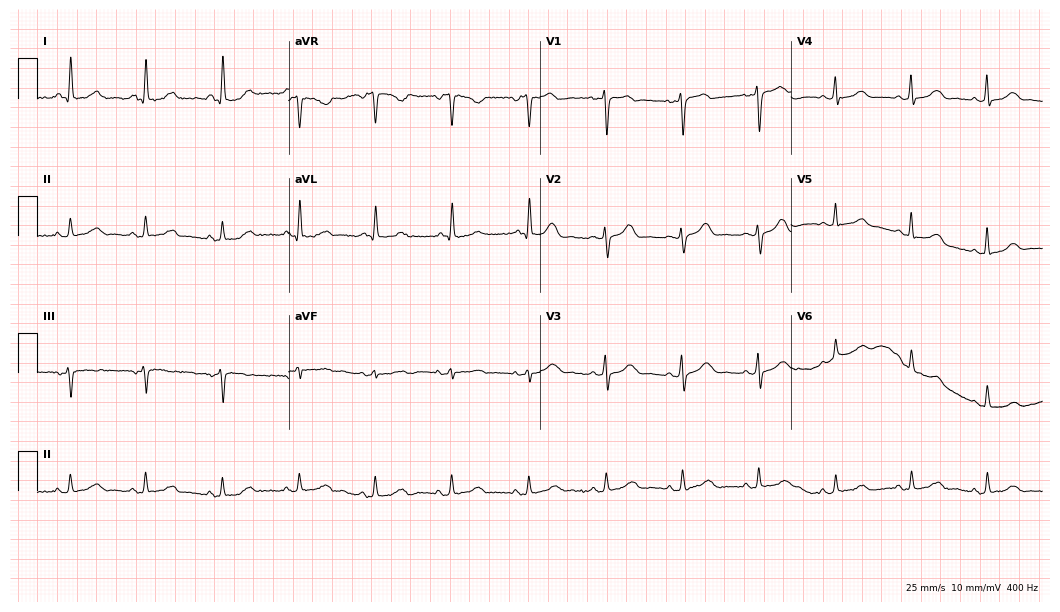
Standard 12-lead ECG recorded from a female patient, 42 years old (10.2-second recording at 400 Hz). Read as a normal ECG.